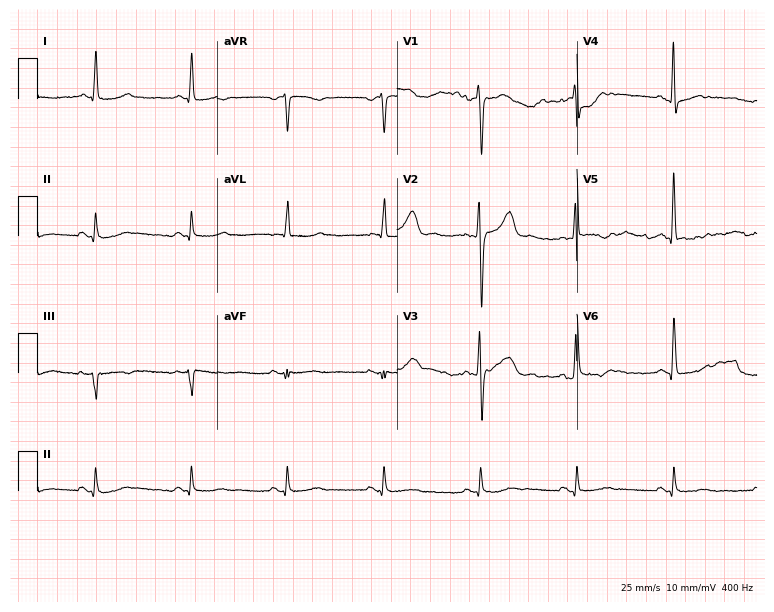
Electrocardiogram, a 41-year-old male patient. Of the six screened findings (first-degree AV block, right bundle branch block, left bundle branch block, sinus bradycardia, atrial fibrillation, sinus tachycardia), none is recorded.